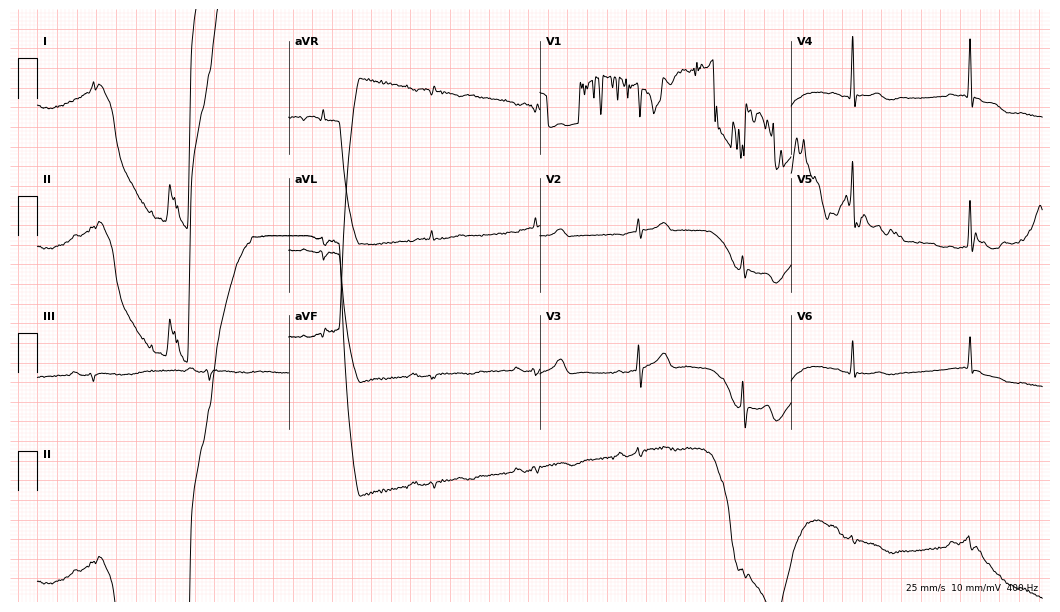
12-lead ECG from a 72-year-old man. Screened for six findings — first-degree AV block, right bundle branch block, left bundle branch block, sinus bradycardia, atrial fibrillation, sinus tachycardia — none is recorded. Only these six findings were labelled.